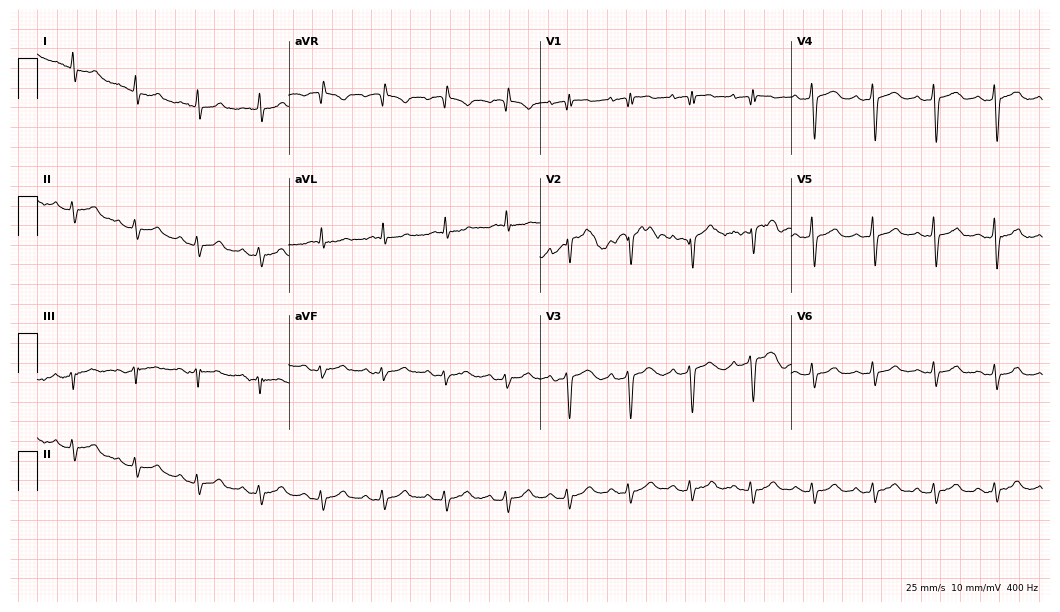
Electrocardiogram, a man, 83 years old. Of the six screened findings (first-degree AV block, right bundle branch block, left bundle branch block, sinus bradycardia, atrial fibrillation, sinus tachycardia), none is recorded. Only these six findings were labelled.